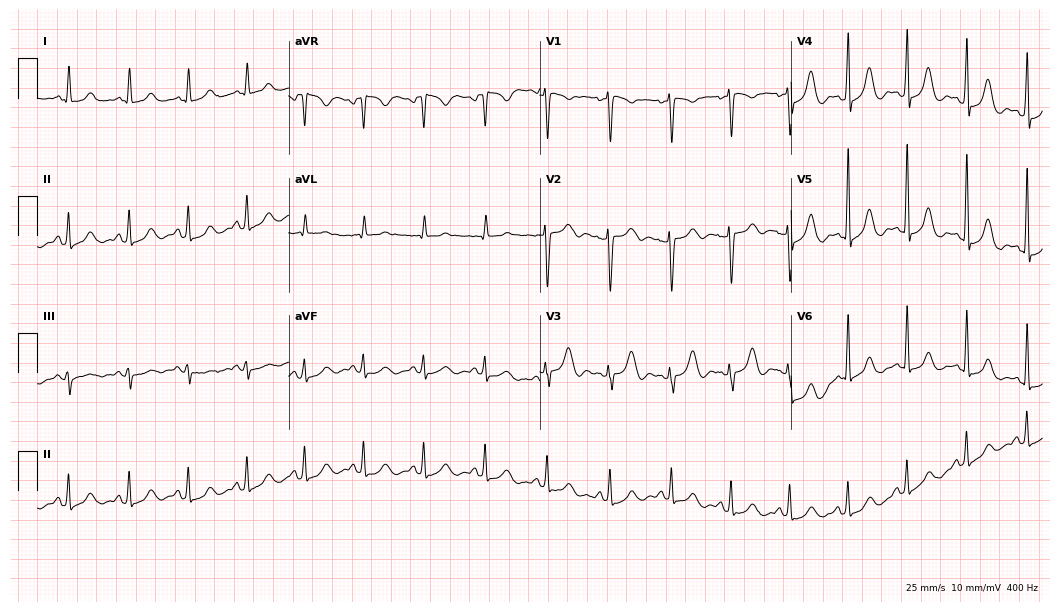
Standard 12-lead ECG recorded from a 49-year-old woman. Read as a normal ECG.